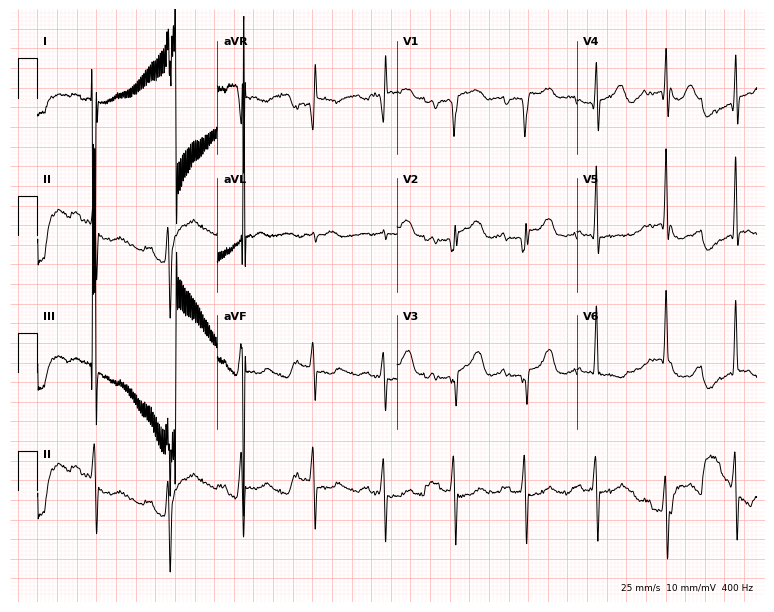
Resting 12-lead electrocardiogram. Patient: a female, 65 years old. None of these six findings is recorded: first-degree AV block, right bundle branch block, left bundle branch block, sinus bradycardia, atrial fibrillation, sinus tachycardia. Findings outside these six are not listed.